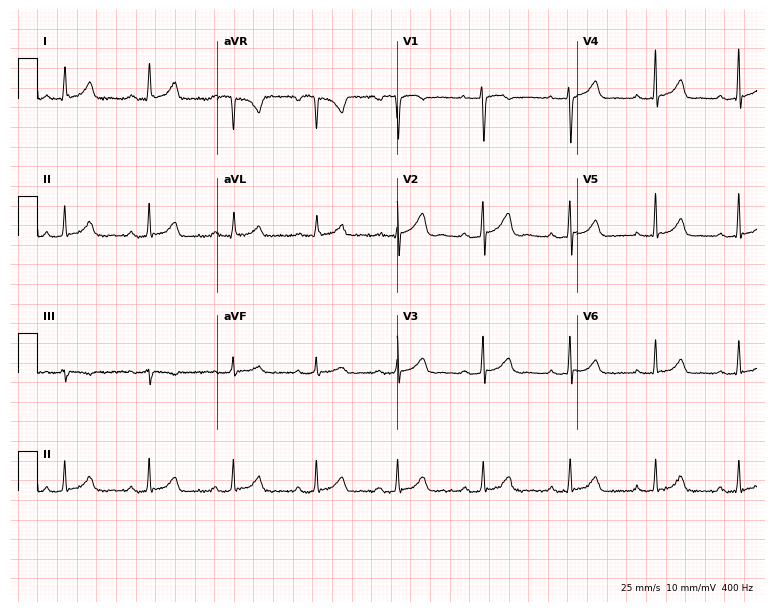
Standard 12-lead ECG recorded from a woman, 38 years old (7.3-second recording at 400 Hz). None of these six findings is recorded: first-degree AV block, right bundle branch block, left bundle branch block, sinus bradycardia, atrial fibrillation, sinus tachycardia.